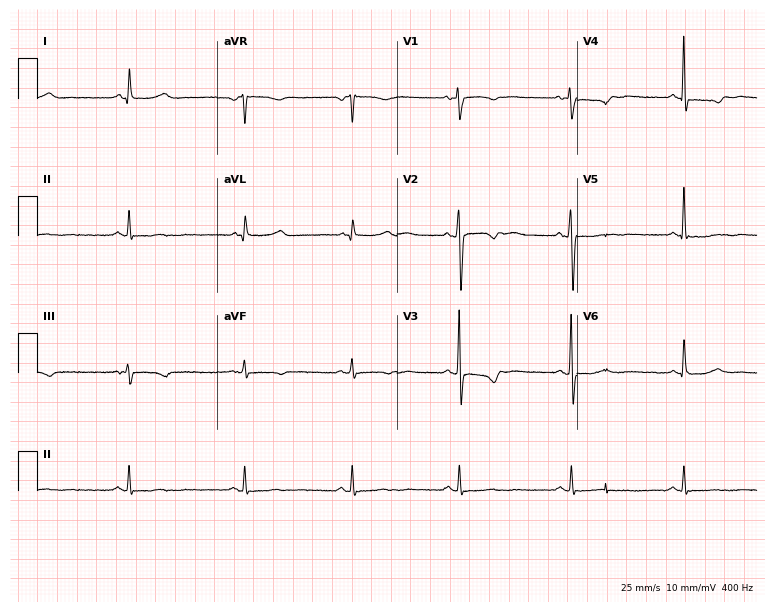
Standard 12-lead ECG recorded from a 54-year-old female patient. None of these six findings is recorded: first-degree AV block, right bundle branch block, left bundle branch block, sinus bradycardia, atrial fibrillation, sinus tachycardia.